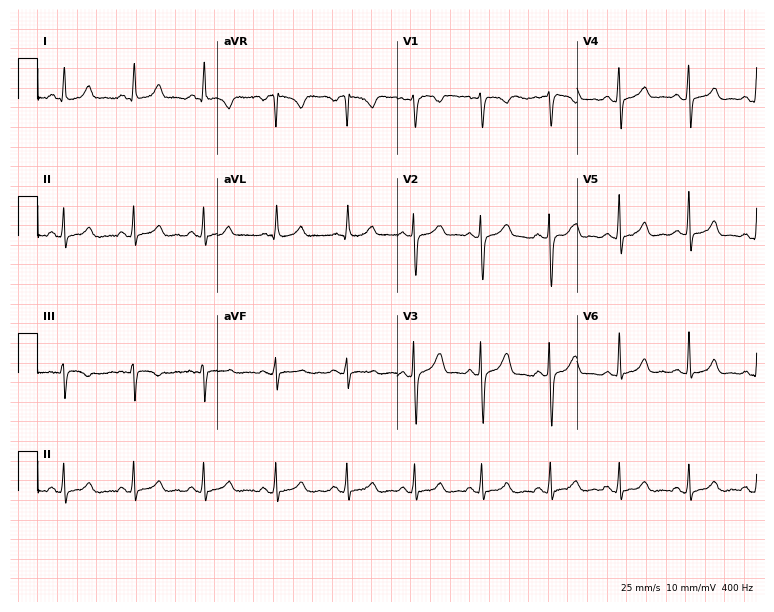
Electrocardiogram, a 24-year-old woman. Overall reading on record: normal ECG.